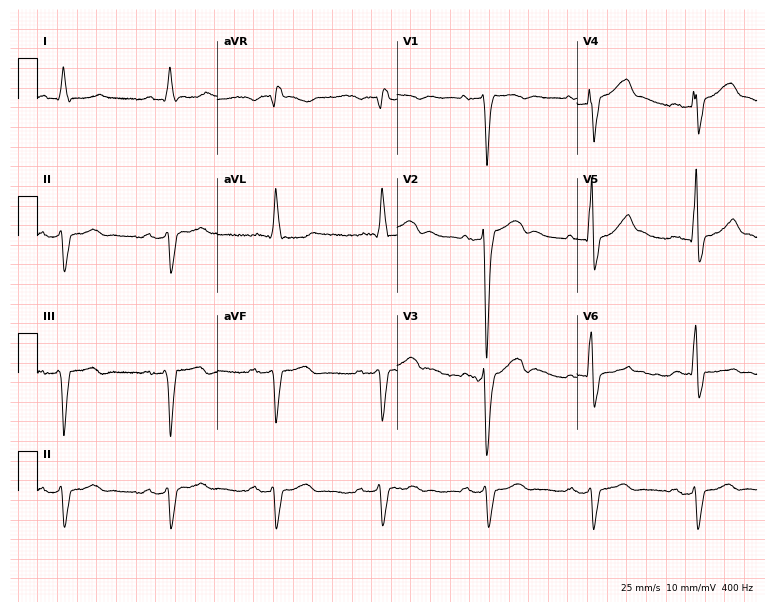
ECG (7.3-second recording at 400 Hz) — a 76-year-old male. Findings include first-degree AV block.